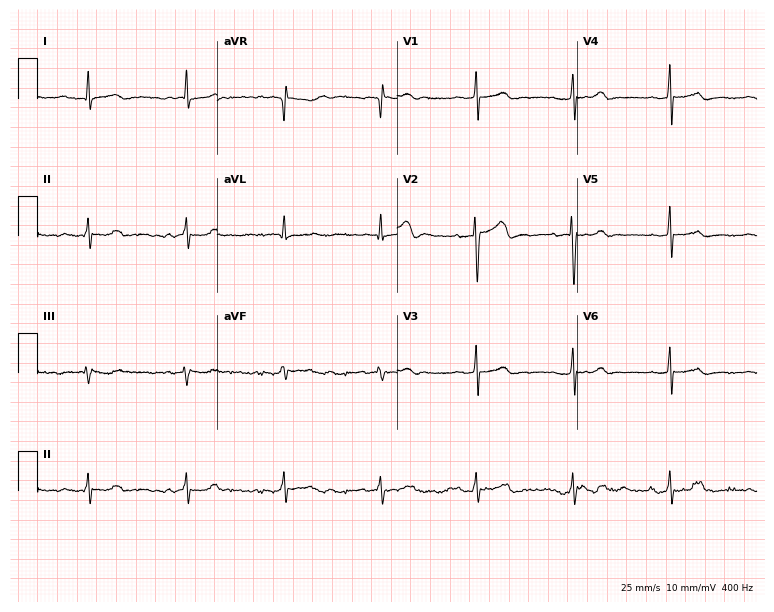
Electrocardiogram, a woman, 59 years old. Of the six screened findings (first-degree AV block, right bundle branch block (RBBB), left bundle branch block (LBBB), sinus bradycardia, atrial fibrillation (AF), sinus tachycardia), none is recorded. Other findings, if any, are not listed.